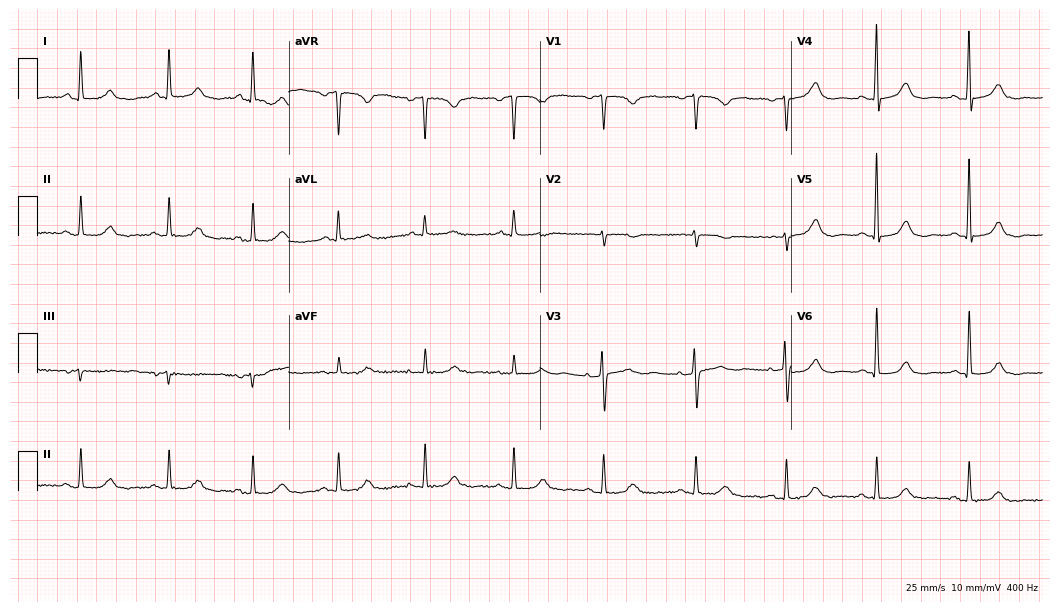
ECG (10.2-second recording at 400 Hz) — a woman, 64 years old. Labelled as a normal ECG.